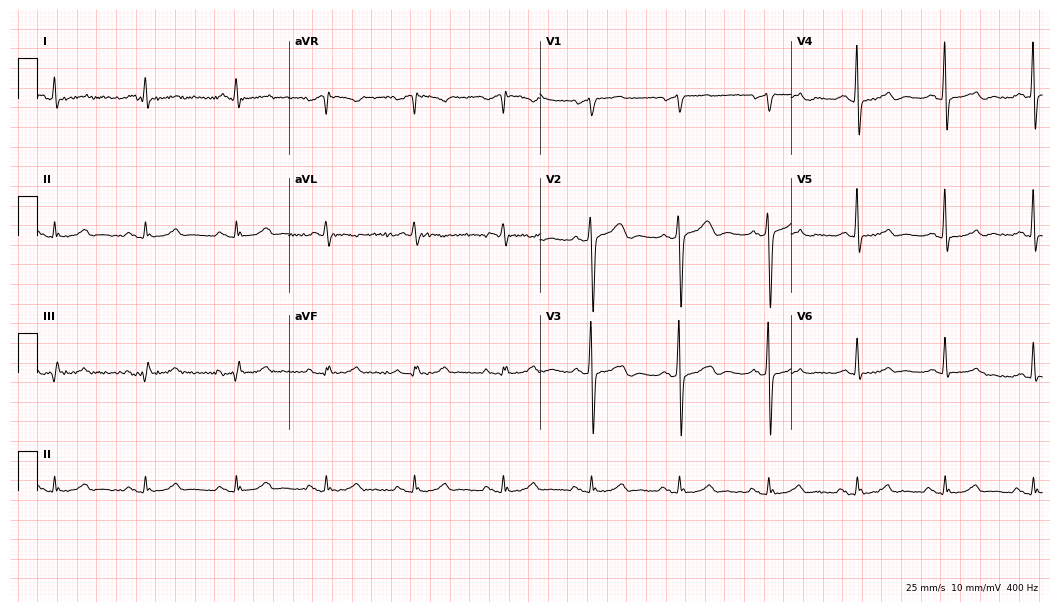
12-lead ECG from a male patient, 67 years old (10.2-second recording at 400 Hz). No first-degree AV block, right bundle branch block, left bundle branch block, sinus bradycardia, atrial fibrillation or sinus tachycardia recorded for this tracing. Other findings, if any, are not listed.